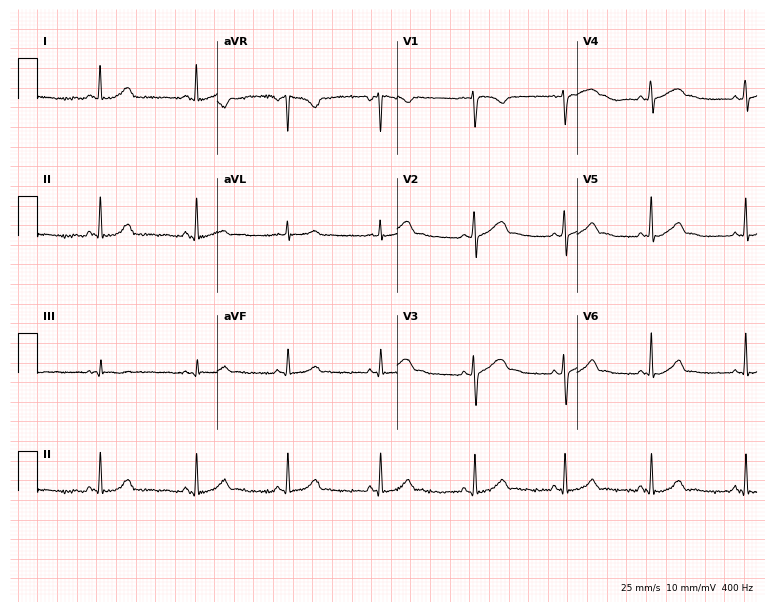
ECG — a woman, 23 years old. Labelled as a normal ECG.